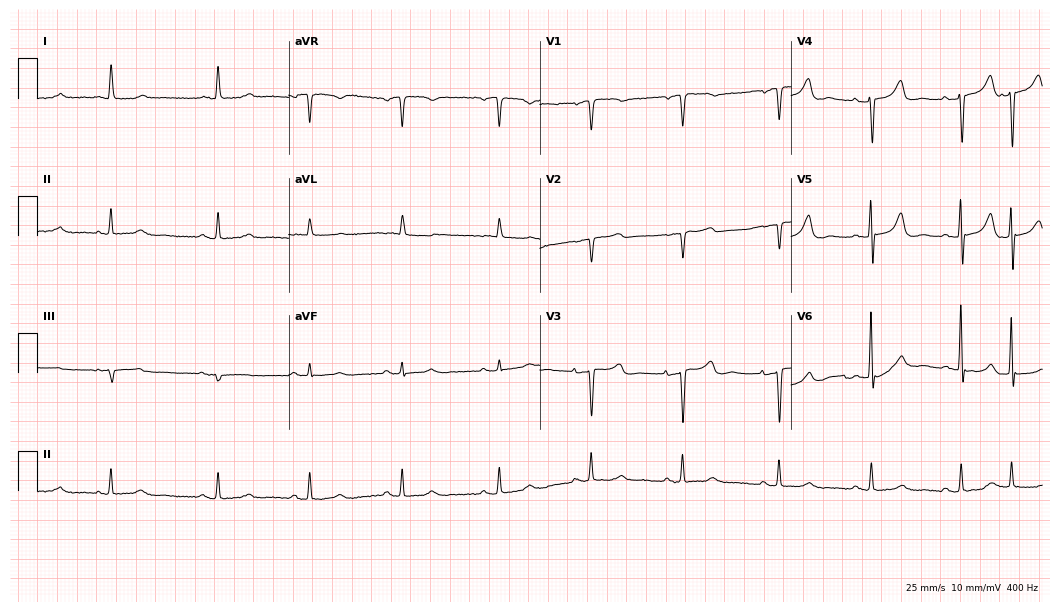
Standard 12-lead ECG recorded from a 75-year-old woman (10.2-second recording at 400 Hz). None of these six findings is recorded: first-degree AV block, right bundle branch block (RBBB), left bundle branch block (LBBB), sinus bradycardia, atrial fibrillation (AF), sinus tachycardia.